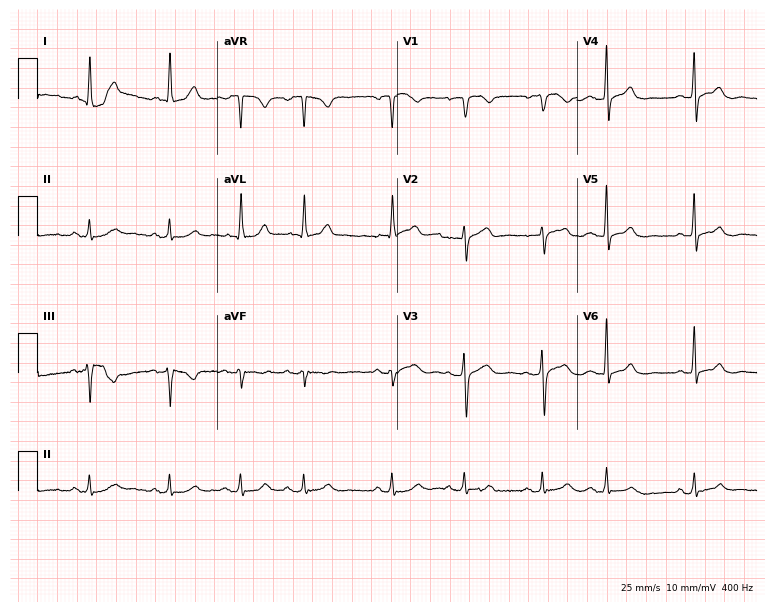
ECG — a woman, 75 years old. Labelled as a normal ECG.